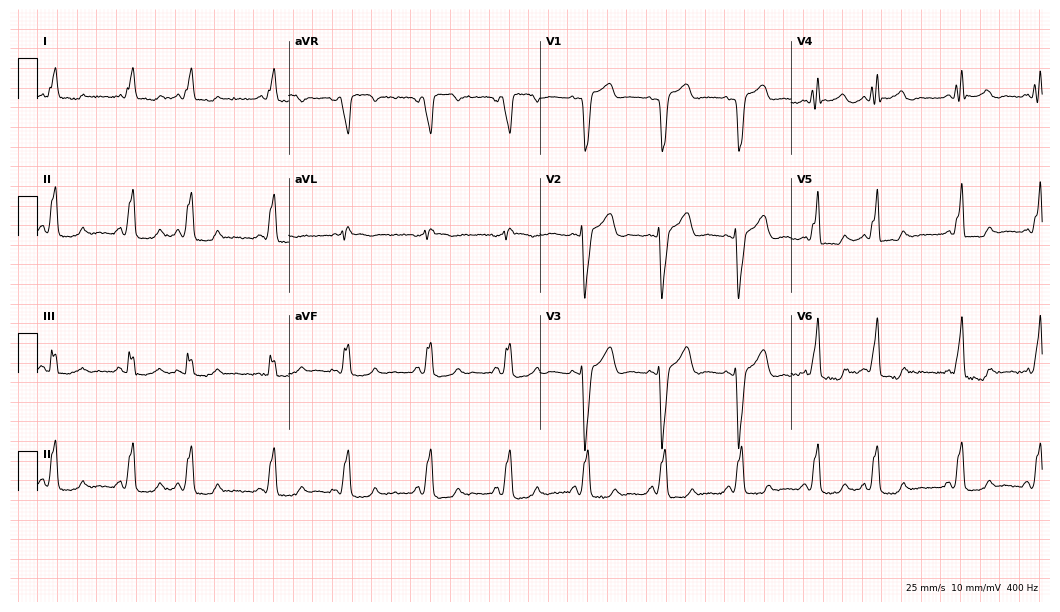
Electrocardiogram (10.2-second recording at 400 Hz), a man, 65 years old. Interpretation includes left bundle branch block (LBBB).